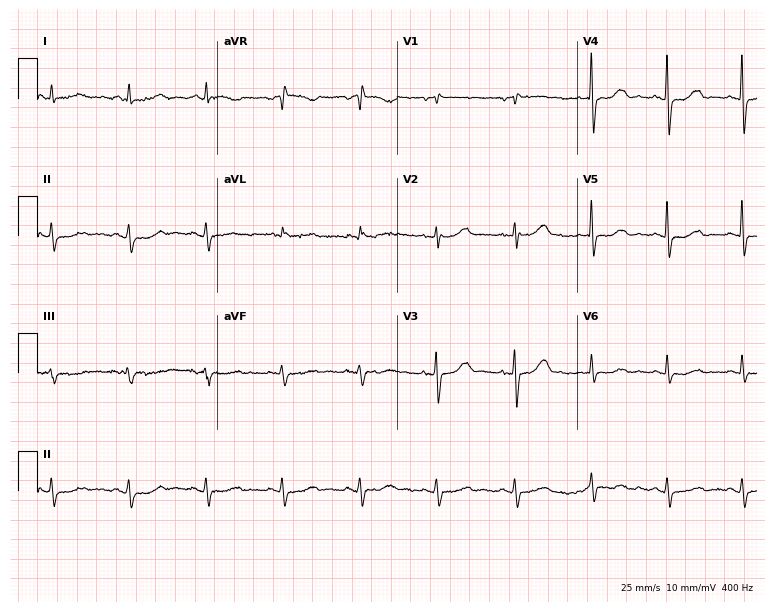
12-lead ECG from a 76-year-old female patient. Screened for six findings — first-degree AV block, right bundle branch block, left bundle branch block, sinus bradycardia, atrial fibrillation, sinus tachycardia — none is recorded. Only these six findings were labelled.